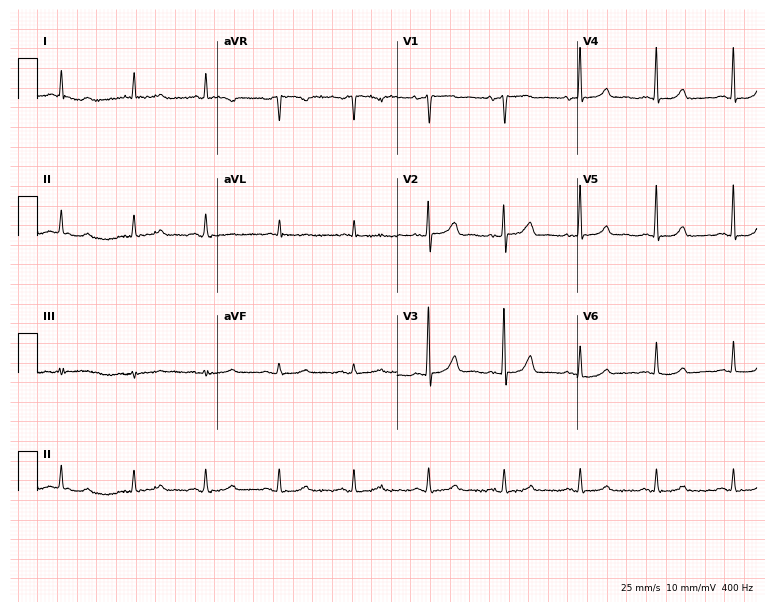
Resting 12-lead electrocardiogram (7.3-second recording at 400 Hz). Patient: a 78-year-old female. None of these six findings is recorded: first-degree AV block, right bundle branch block, left bundle branch block, sinus bradycardia, atrial fibrillation, sinus tachycardia.